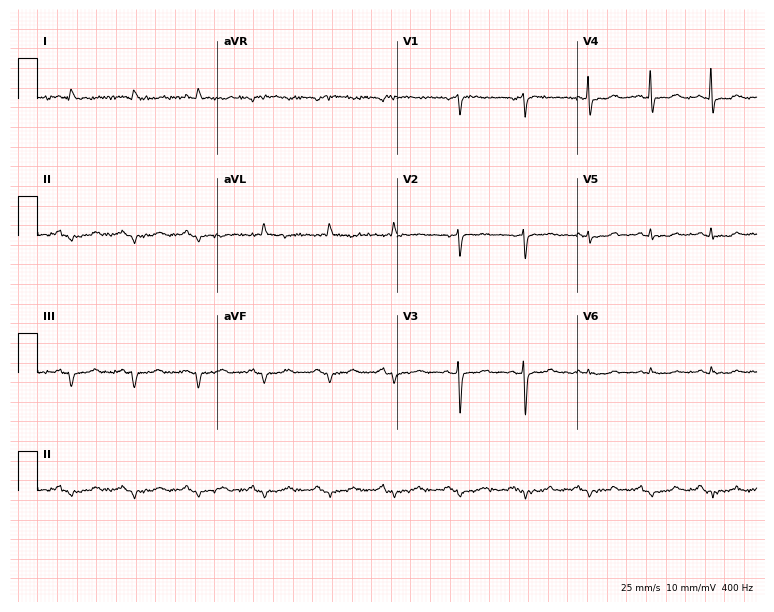
12-lead ECG from a female patient, 65 years old. Screened for six findings — first-degree AV block, right bundle branch block, left bundle branch block, sinus bradycardia, atrial fibrillation, sinus tachycardia — none is recorded.